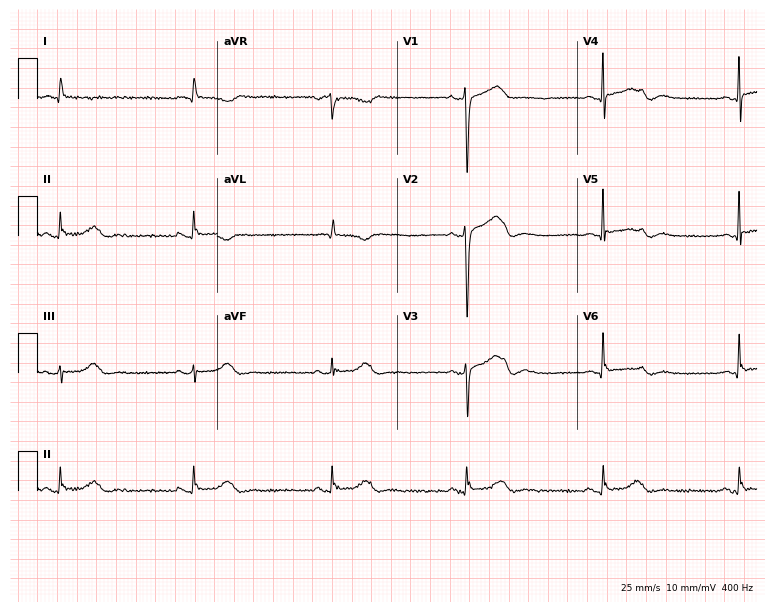
ECG (7.3-second recording at 400 Hz) — a female, 73 years old. Findings include sinus bradycardia (a sinus rate of 50 beats per minute or less).